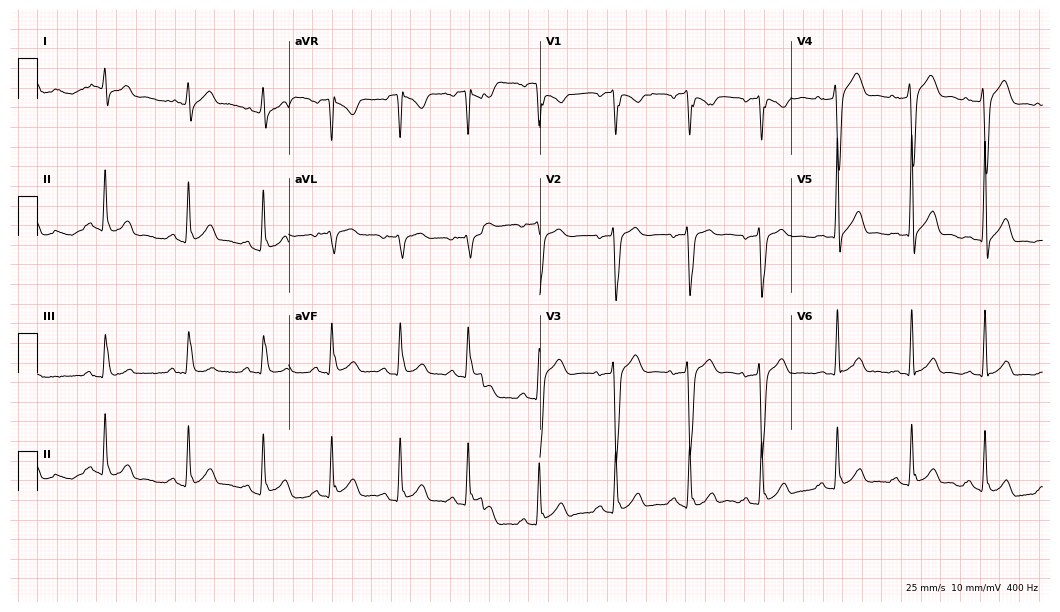
Electrocardiogram, a 26-year-old male. Of the six screened findings (first-degree AV block, right bundle branch block, left bundle branch block, sinus bradycardia, atrial fibrillation, sinus tachycardia), none is recorded. Findings outside these six are not listed.